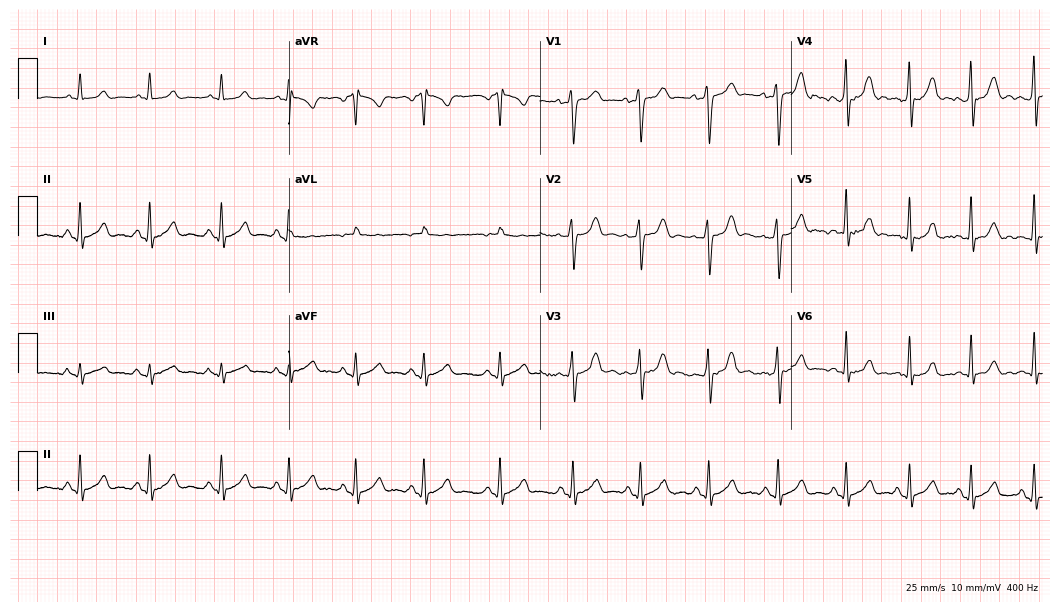
Resting 12-lead electrocardiogram. Patient: an 18-year-old male. Read as a normal ECG.